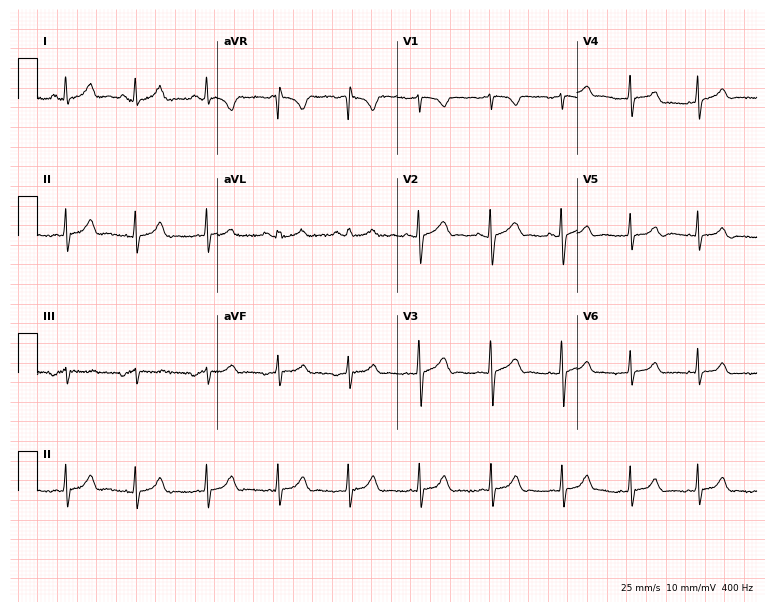
12-lead ECG from a woman, 17 years old. Recorded interpretation: within normal limits.